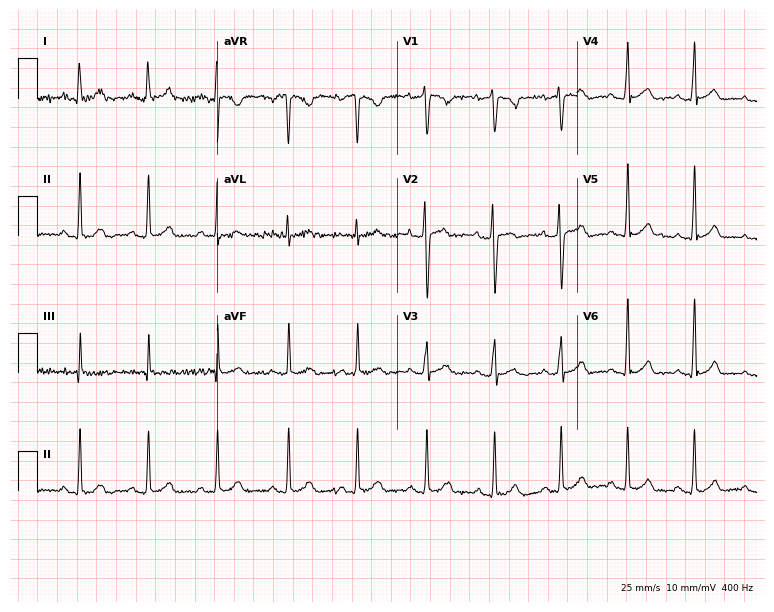
12-lead ECG from a female patient, 28 years old. Labelled as a normal ECG.